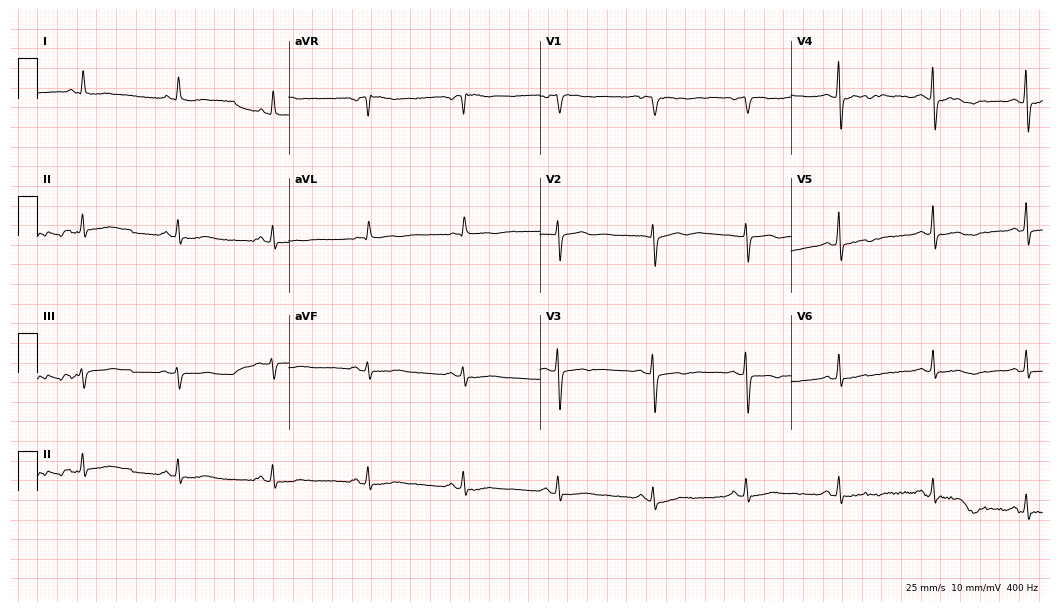
Resting 12-lead electrocardiogram. Patient: an 84-year-old woman. None of these six findings is recorded: first-degree AV block, right bundle branch block, left bundle branch block, sinus bradycardia, atrial fibrillation, sinus tachycardia. Findings outside these six are not listed.